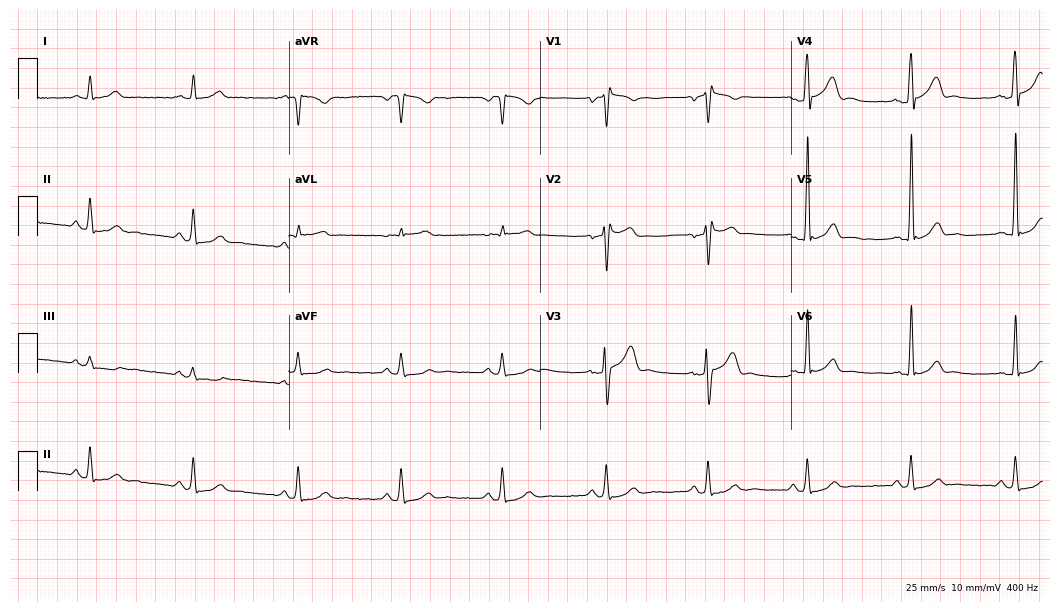
Standard 12-lead ECG recorded from a 38-year-old male (10.2-second recording at 400 Hz). Read as a normal ECG.